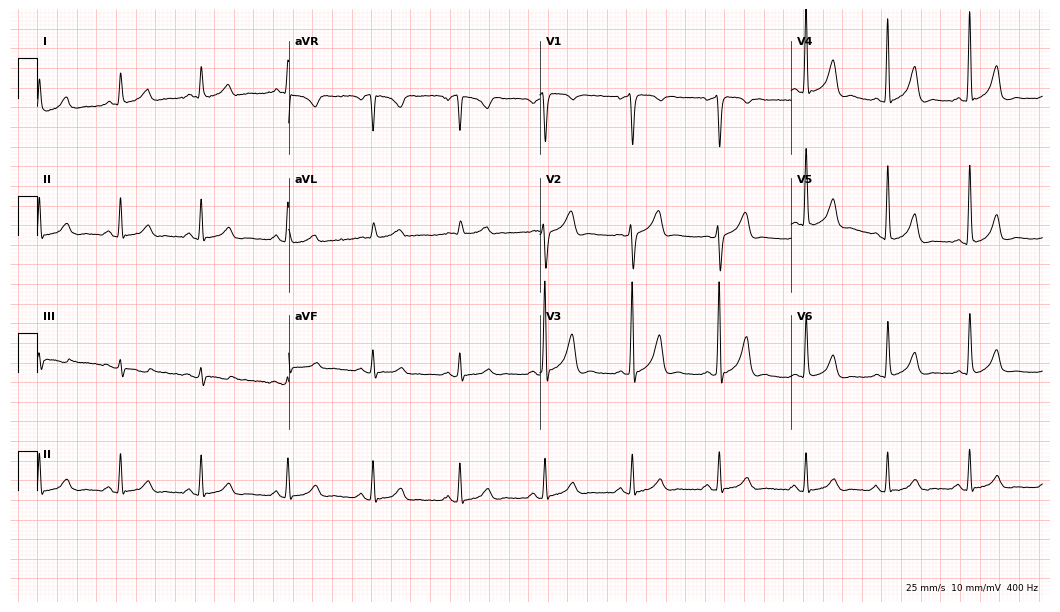
Standard 12-lead ECG recorded from a man, 47 years old. Read as a normal ECG.